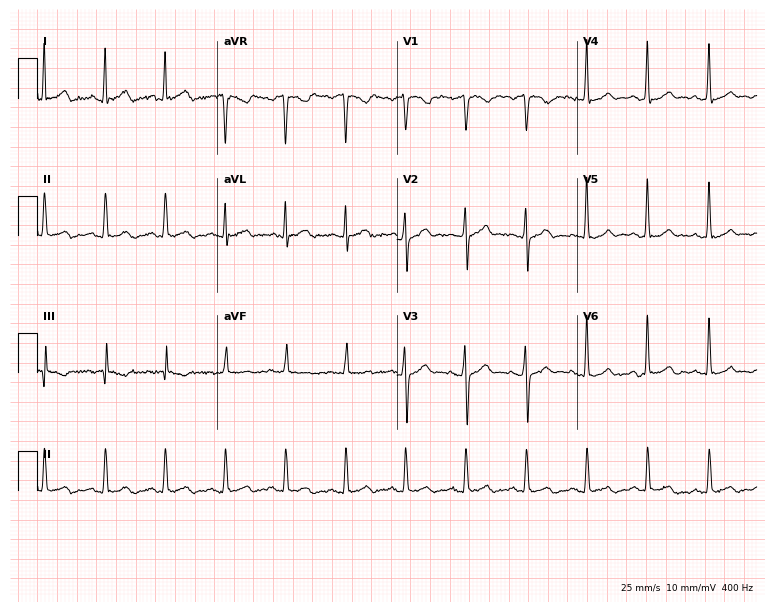
Resting 12-lead electrocardiogram (7.3-second recording at 400 Hz). Patient: a 33-year-old male. Read as a normal ECG.